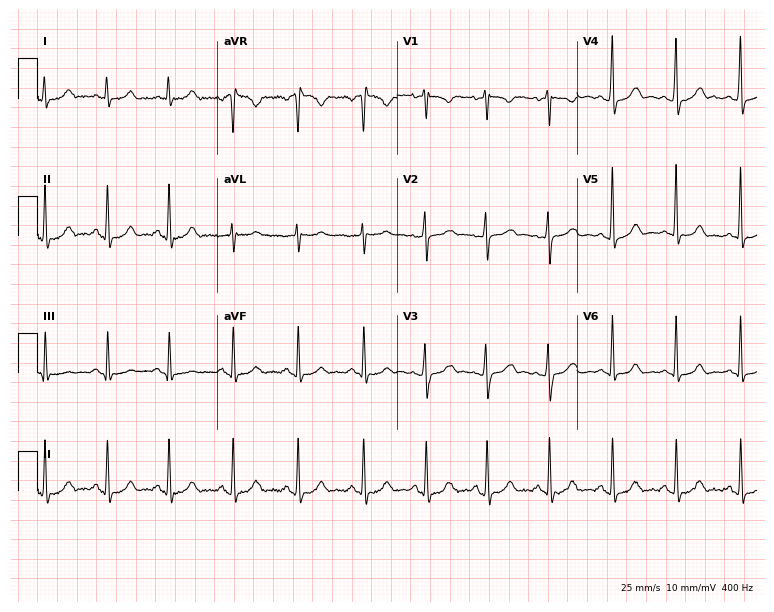
Electrocardiogram (7.3-second recording at 400 Hz), a female patient, 34 years old. Overall reading on record: normal ECG.